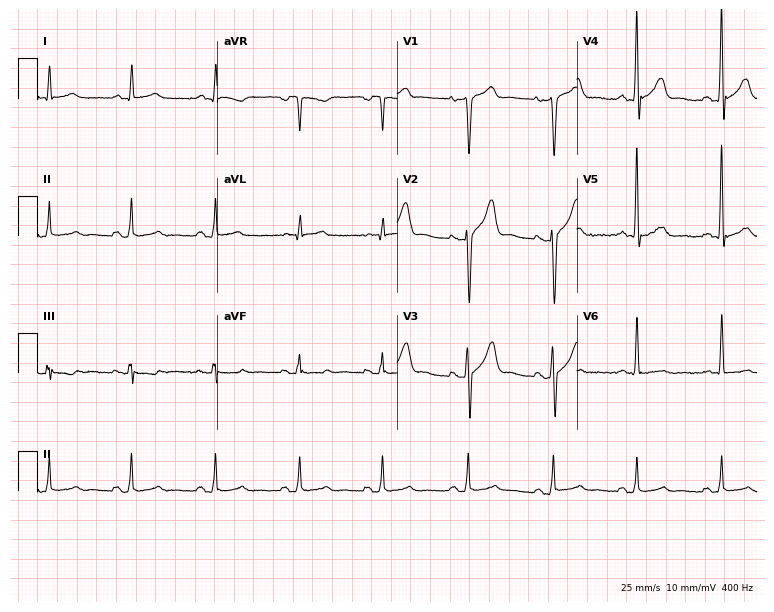
Standard 12-lead ECG recorded from a female, 44 years old (7.3-second recording at 400 Hz). Read as a normal ECG.